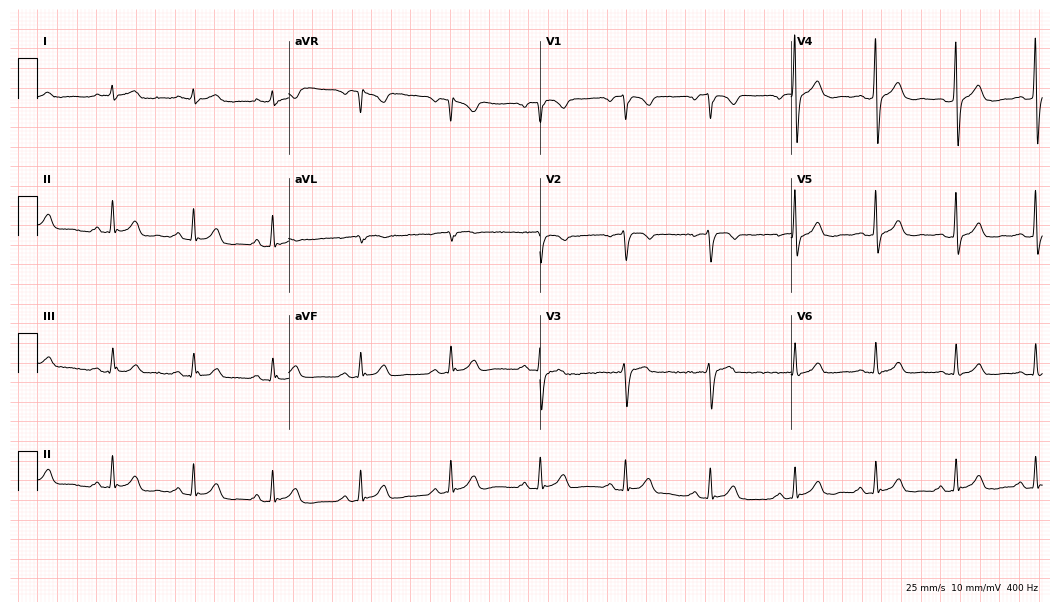
12-lead ECG (10.2-second recording at 400 Hz) from a male, 29 years old. Labelled as a normal ECG.